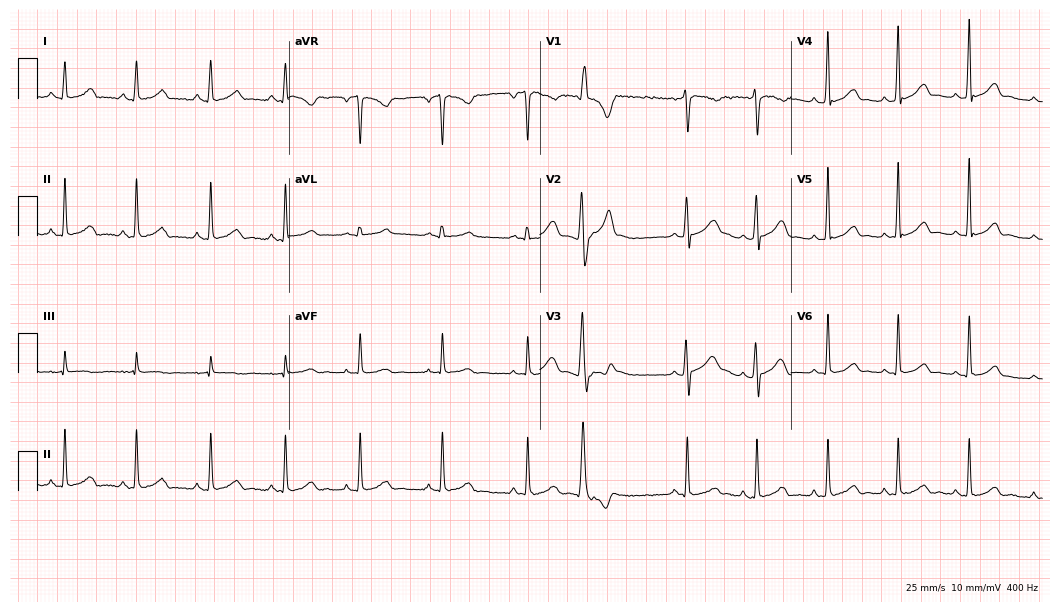
ECG (10.2-second recording at 400 Hz) — a 24-year-old female patient. Labelled as a normal ECG.